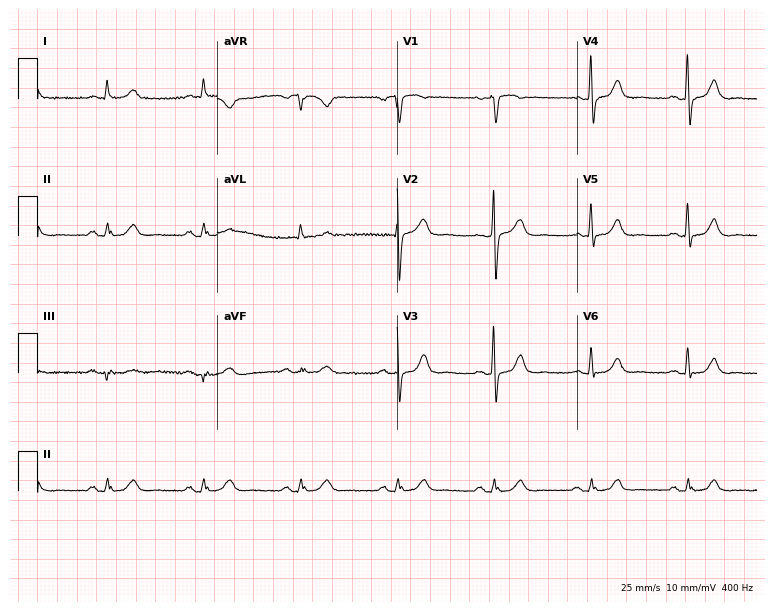
12-lead ECG from a 64-year-old male patient. Recorded interpretation: within normal limits.